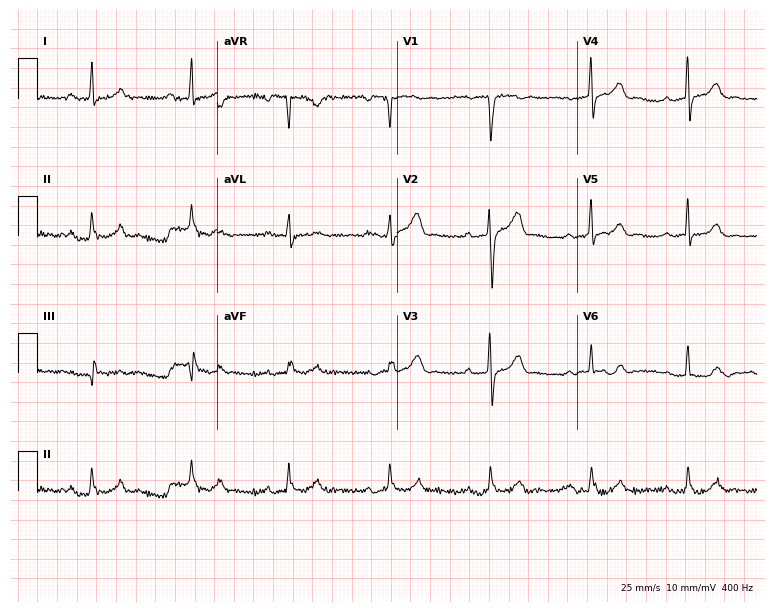
Electrocardiogram (7.3-second recording at 400 Hz), a male, 46 years old. Interpretation includes first-degree AV block.